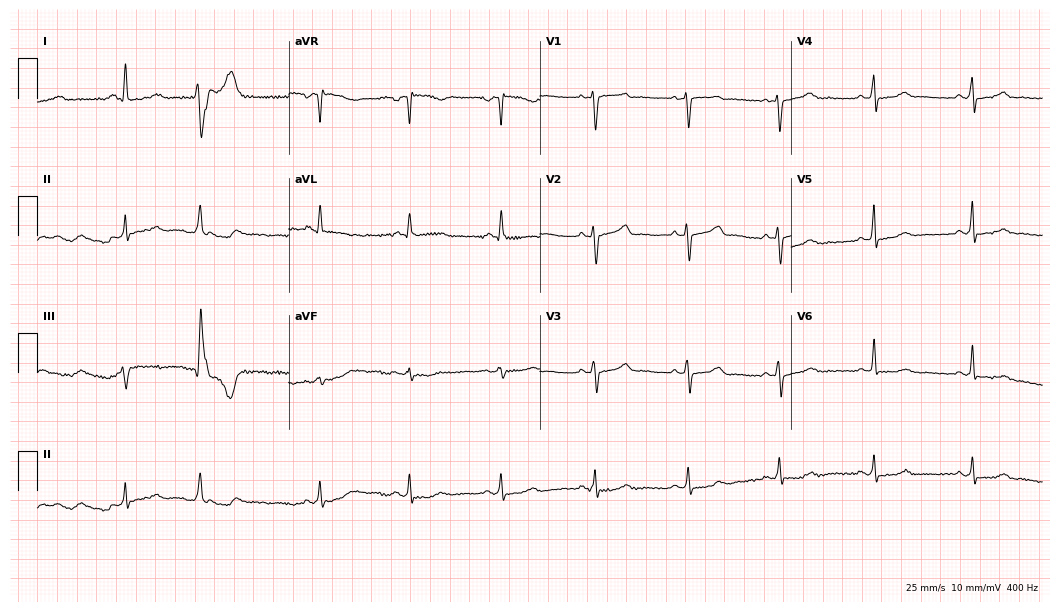
Electrocardiogram, a 52-year-old female patient. Overall reading on record: normal ECG.